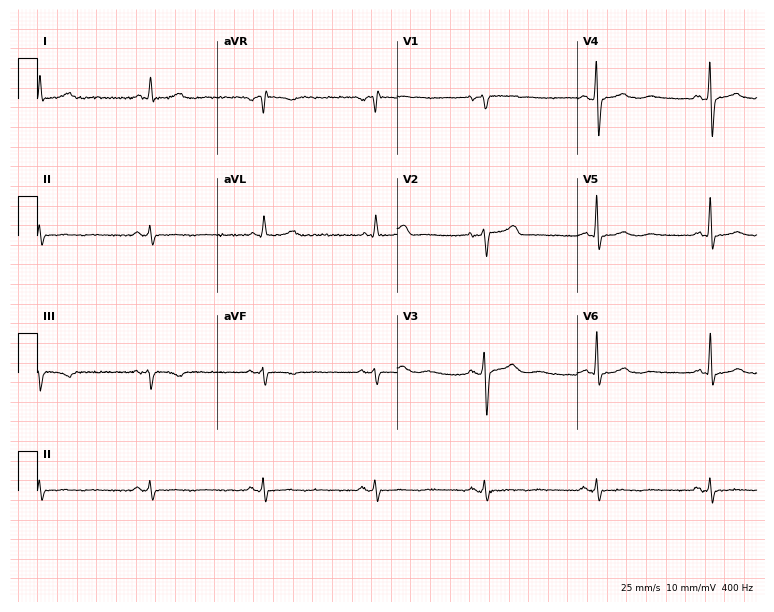
ECG — a 60-year-old male. Screened for six findings — first-degree AV block, right bundle branch block, left bundle branch block, sinus bradycardia, atrial fibrillation, sinus tachycardia — none is recorded. Findings outside these six are not listed.